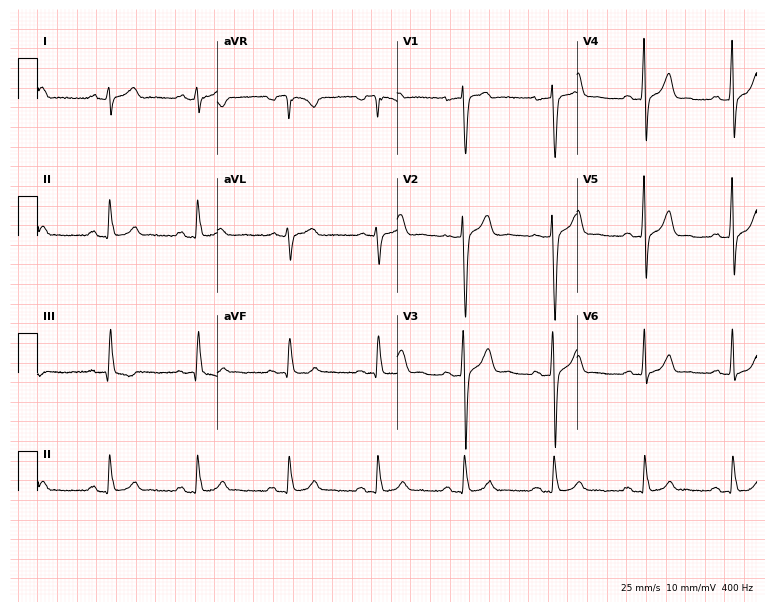
Standard 12-lead ECG recorded from a 41-year-old man (7.3-second recording at 400 Hz). Read as a normal ECG.